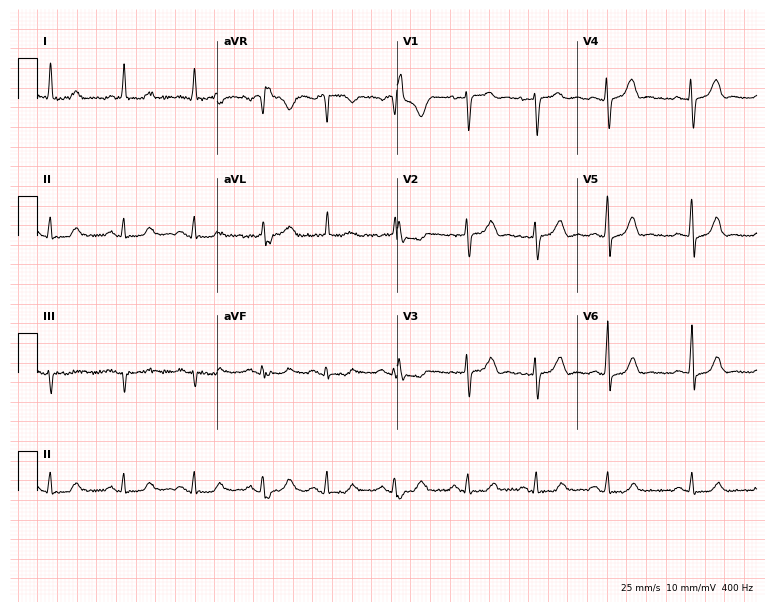
12-lead ECG from a 70-year-old female (7.3-second recording at 400 Hz). No first-degree AV block, right bundle branch block, left bundle branch block, sinus bradycardia, atrial fibrillation or sinus tachycardia recorded for this tracing. Only these six findings were labelled.